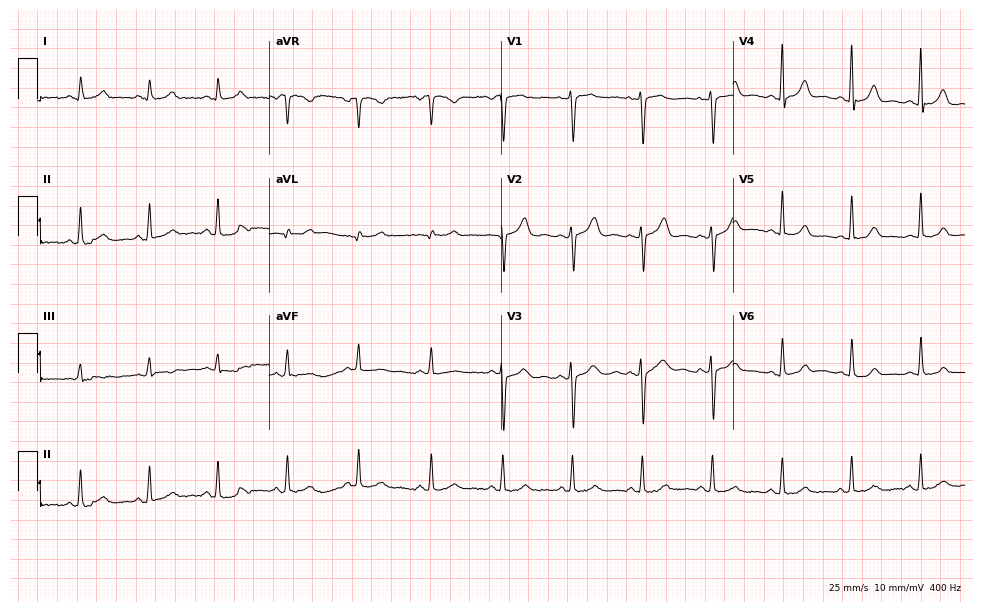
Resting 12-lead electrocardiogram (9.5-second recording at 400 Hz). Patient: a 46-year-old female. Read as a normal ECG.